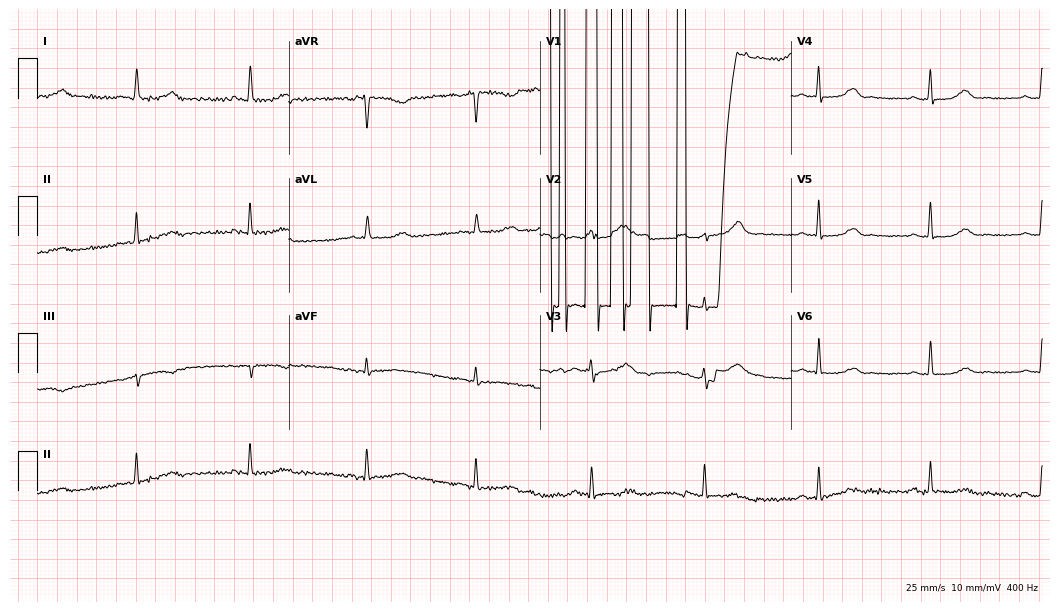
Standard 12-lead ECG recorded from a woman, 69 years old (10.2-second recording at 400 Hz). The tracing shows atrial fibrillation.